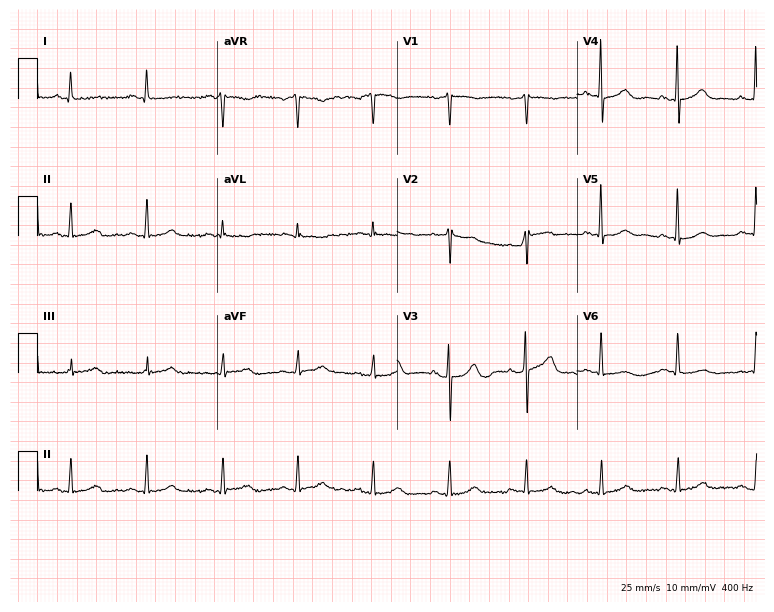
ECG — a female patient, 66 years old. Labelled as a normal ECG.